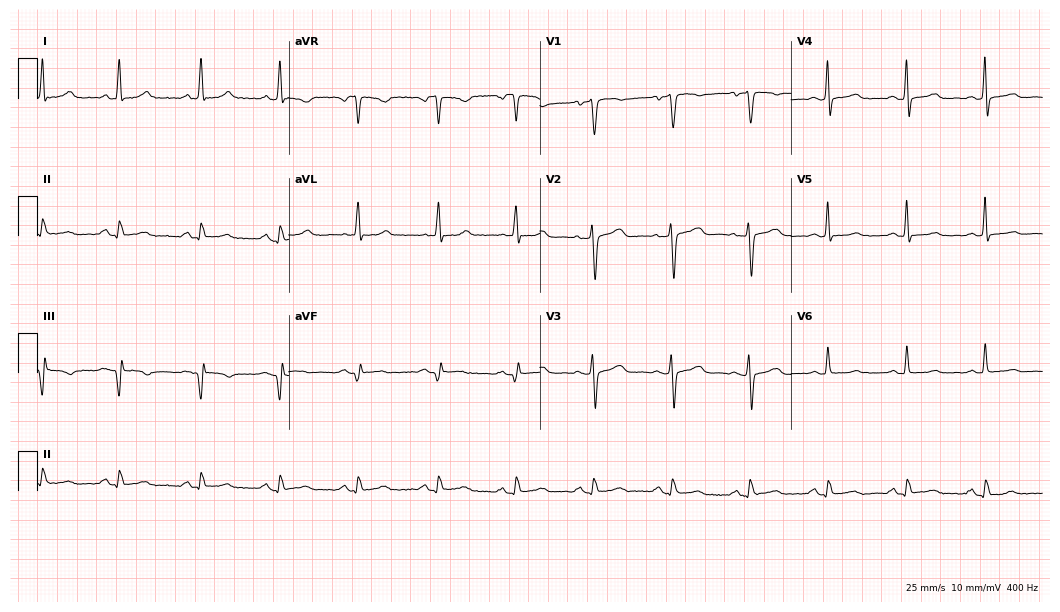
12-lead ECG from a 57-year-old female. No first-degree AV block, right bundle branch block, left bundle branch block, sinus bradycardia, atrial fibrillation or sinus tachycardia recorded for this tracing. Other findings, if any, are not listed.